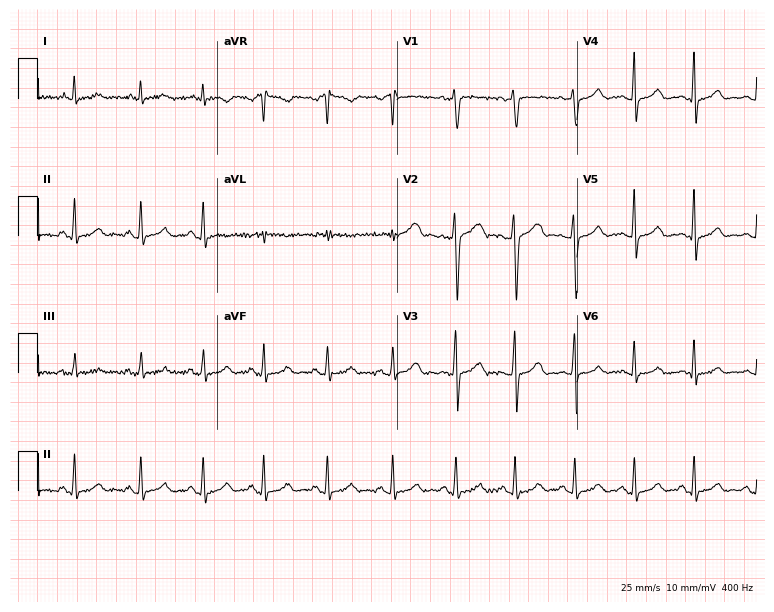
ECG — a woman, 27 years old. Screened for six findings — first-degree AV block, right bundle branch block, left bundle branch block, sinus bradycardia, atrial fibrillation, sinus tachycardia — none is recorded. Only these six findings were labelled.